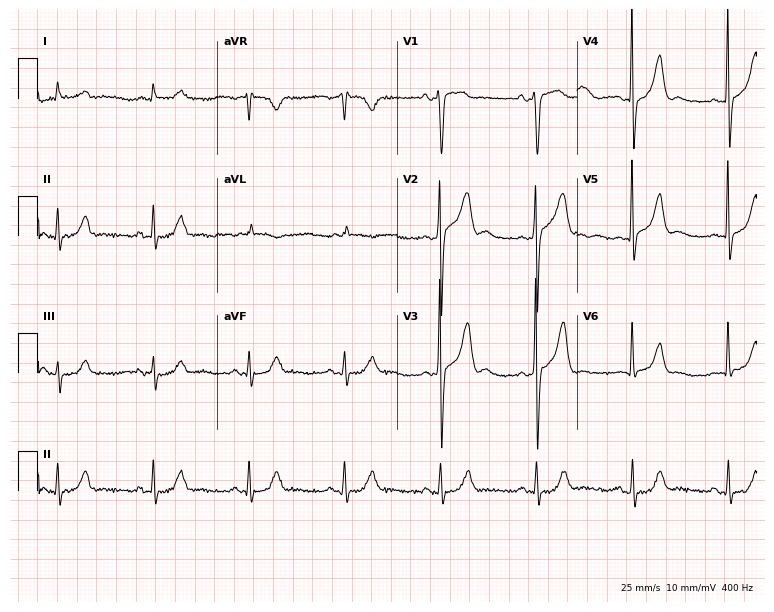
12-lead ECG from a 76-year-old man (7.3-second recording at 400 Hz). No first-degree AV block, right bundle branch block, left bundle branch block, sinus bradycardia, atrial fibrillation or sinus tachycardia recorded for this tracing. Only these six findings were labelled.